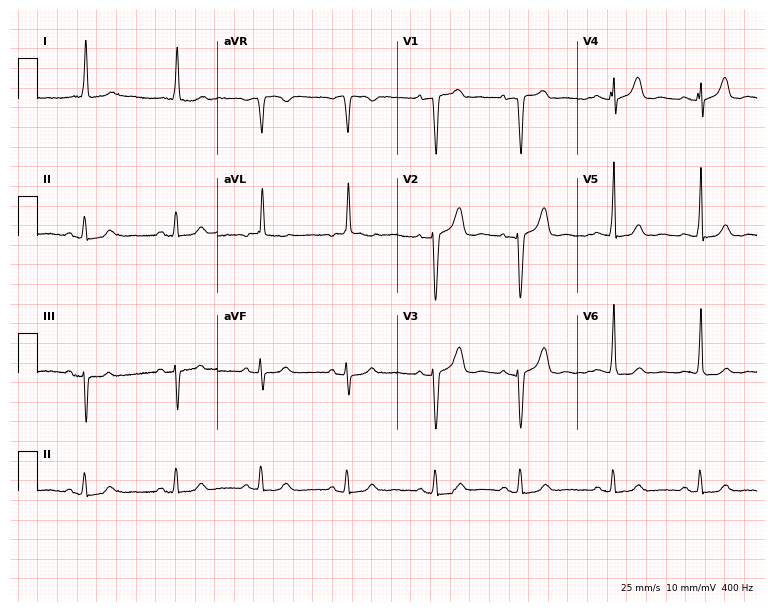
Standard 12-lead ECG recorded from a man, 82 years old. None of these six findings is recorded: first-degree AV block, right bundle branch block, left bundle branch block, sinus bradycardia, atrial fibrillation, sinus tachycardia.